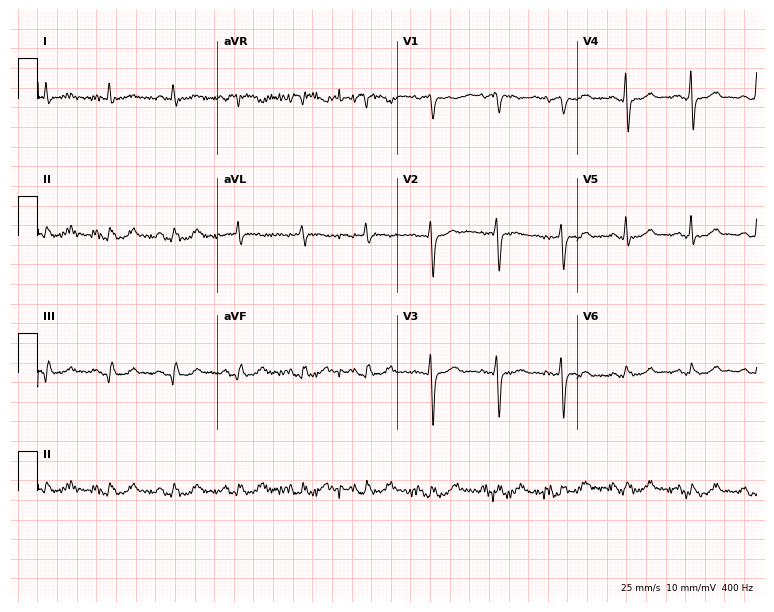
Standard 12-lead ECG recorded from a 71-year-old woman (7.3-second recording at 400 Hz). None of these six findings is recorded: first-degree AV block, right bundle branch block, left bundle branch block, sinus bradycardia, atrial fibrillation, sinus tachycardia. Findings outside these six are not listed.